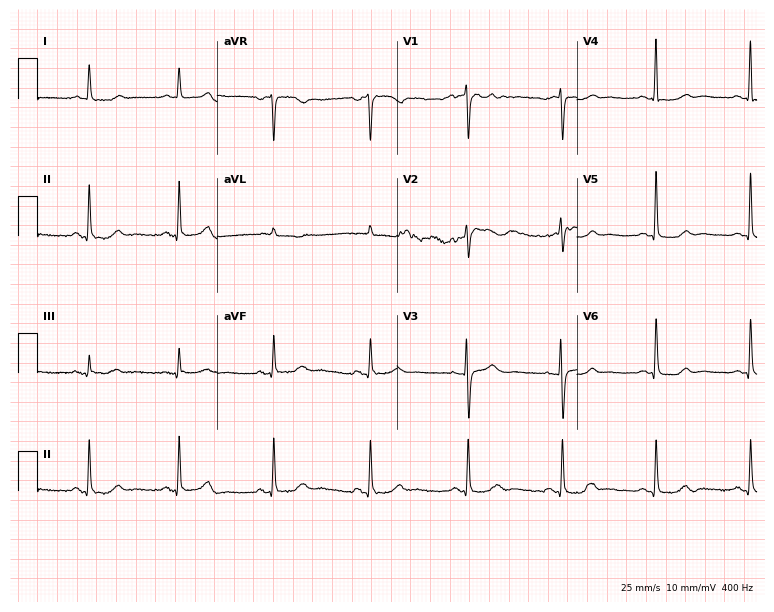
Electrocardiogram, a 68-year-old female patient. Overall reading on record: normal ECG.